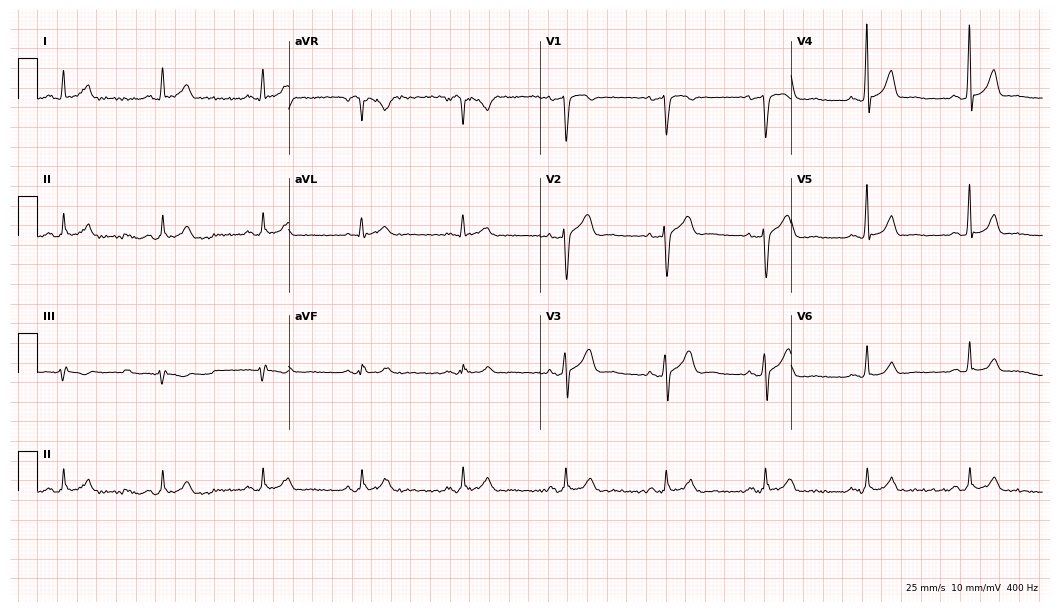
12-lead ECG (10.2-second recording at 400 Hz) from a 59-year-old man. Screened for six findings — first-degree AV block, right bundle branch block, left bundle branch block, sinus bradycardia, atrial fibrillation, sinus tachycardia — none is recorded.